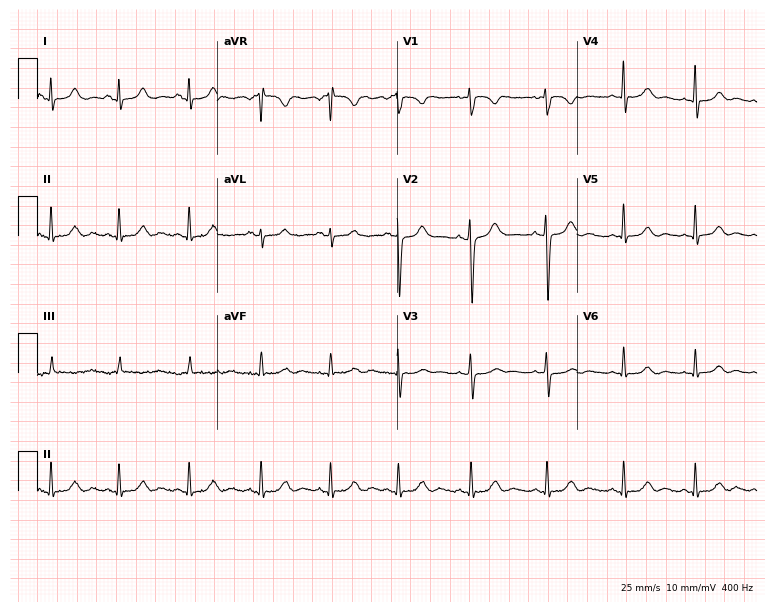
Electrocardiogram, a 23-year-old female patient. Of the six screened findings (first-degree AV block, right bundle branch block (RBBB), left bundle branch block (LBBB), sinus bradycardia, atrial fibrillation (AF), sinus tachycardia), none is recorded. Findings outside these six are not listed.